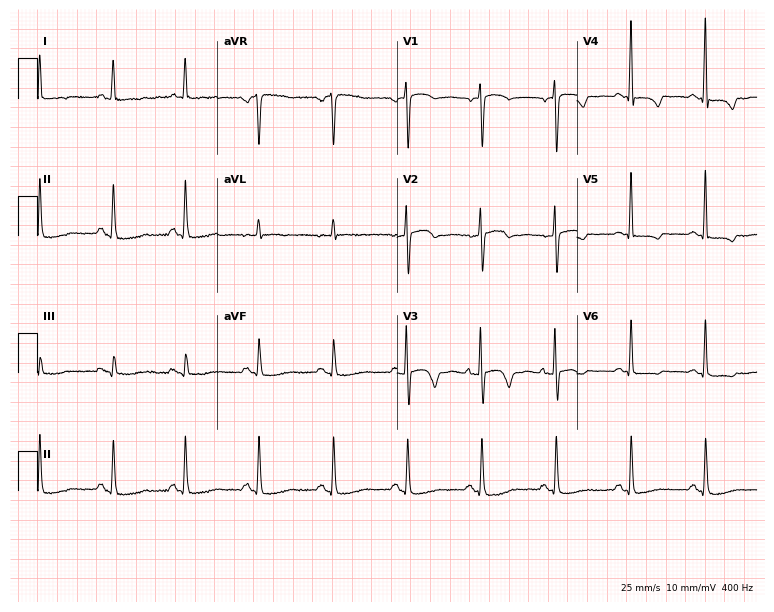
Resting 12-lead electrocardiogram (7.3-second recording at 400 Hz). Patient: a 58-year-old female. None of these six findings is recorded: first-degree AV block, right bundle branch block (RBBB), left bundle branch block (LBBB), sinus bradycardia, atrial fibrillation (AF), sinus tachycardia.